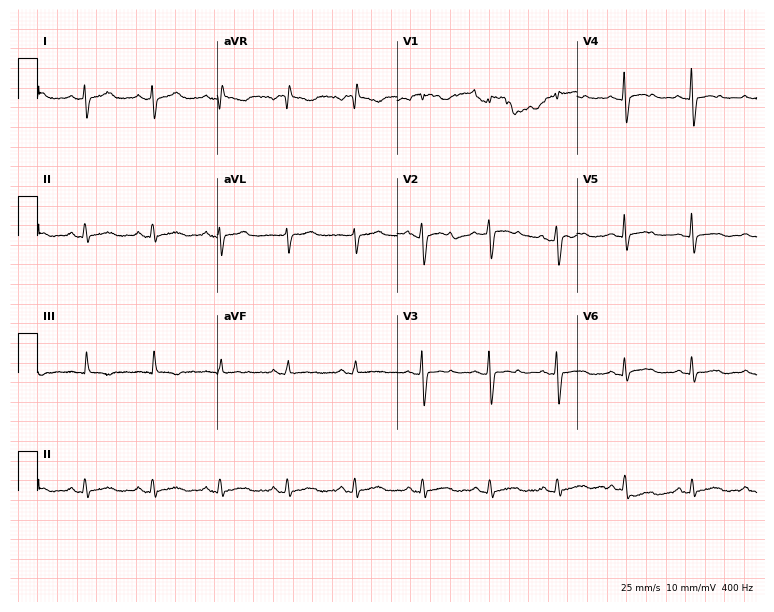
Standard 12-lead ECG recorded from a 39-year-old female. None of these six findings is recorded: first-degree AV block, right bundle branch block, left bundle branch block, sinus bradycardia, atrial fibrillation, sinus tachycardia.